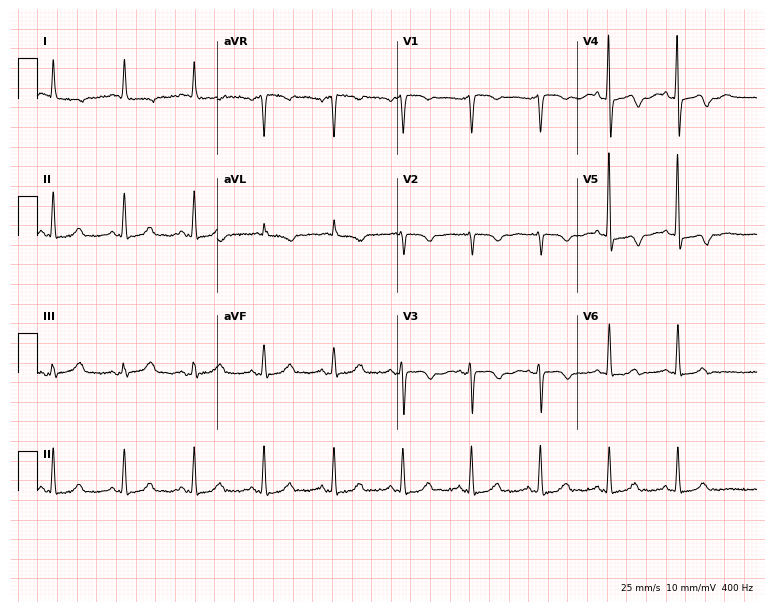
Standard 12-lead ECG recorded from an 82-year-old female. None of these six findings is recorded: first-degree AV block, right bundle branch block, left bundle branch block, sinus bradycardia, atrial fibrillation, sinus tachycardia. Findings outside these six are not listed.